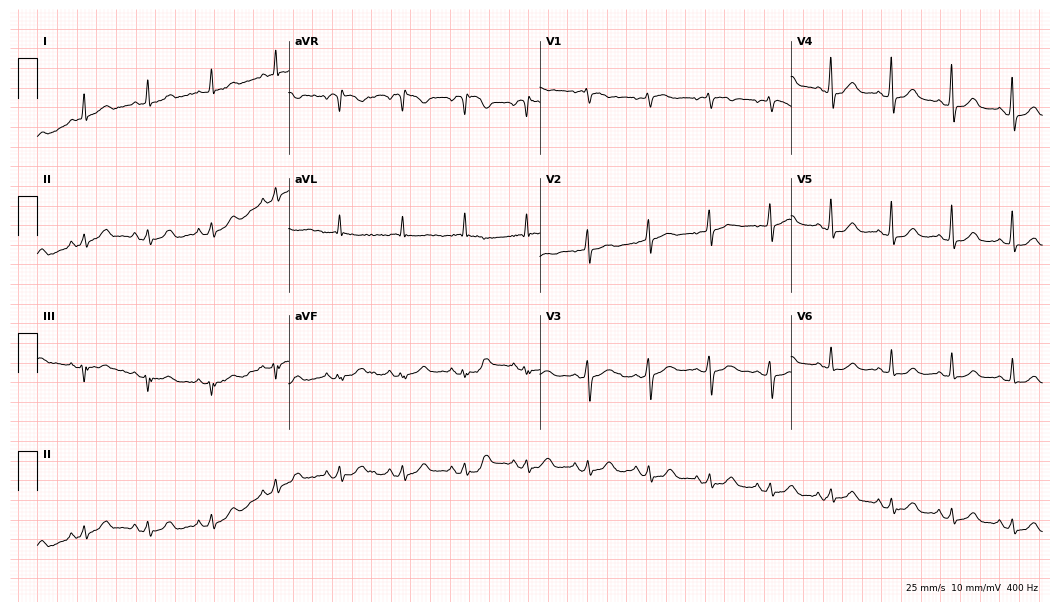
12-lead ECG (10.2-second recording at 400 Hz) from a 66-year-old female. Labelled as a normal ECG.